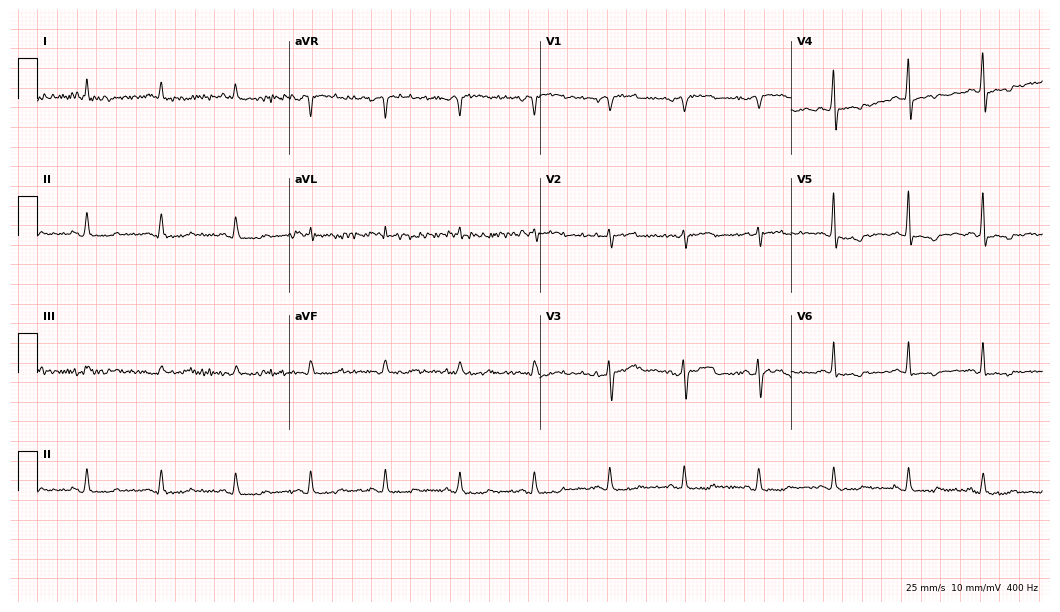
Resting 12-lead electrocardiogram (10.2-second recording at 400 Hz). Patient: a male, 79 years old. None of these six findings is recorded: first-degree AV block, right bundle branch block (RBBB), left bundle branch block (LBBB), sinus bradycardia, atrial fibrillation (AF), sinus tachycardia.